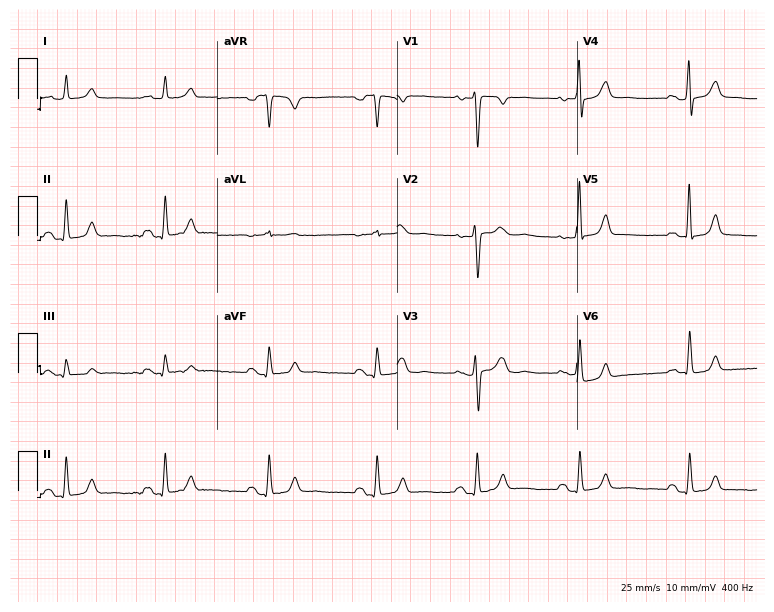
Resting 12-lead electrocardiogram (7.3-second recording at 400 Hz). Patient: a woman, 38 years old. None of these six findings is recorded: first-degree AV block, right bundle branch block, left bundle branch block, sinus bradycardia, atrial fibrillation, sinus tachycardia.